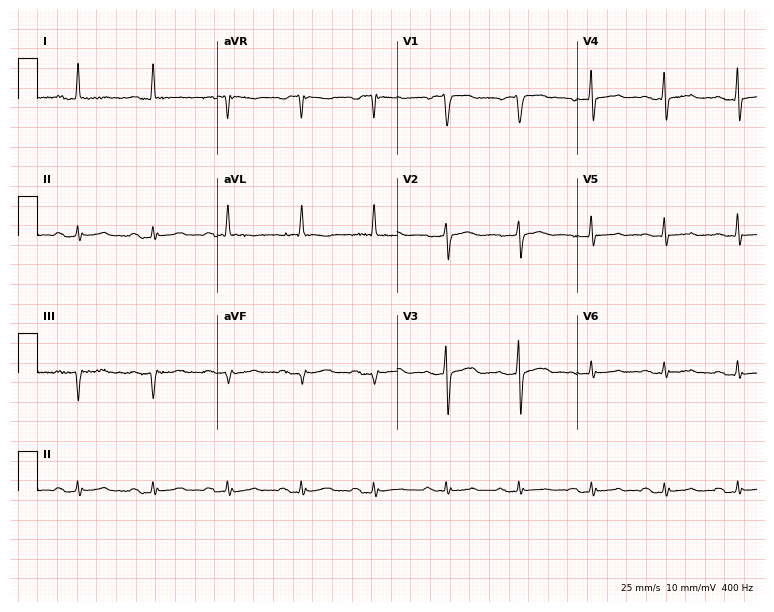
12-lead ECG from a woman, 62 years old (7.3-second recording at 400 Hz). No first-degree AV block, right bundle branch block, left bundle branch block, sinus bradycardia, atrial fibrillation or sinus tachycardia recorded for this tracing.